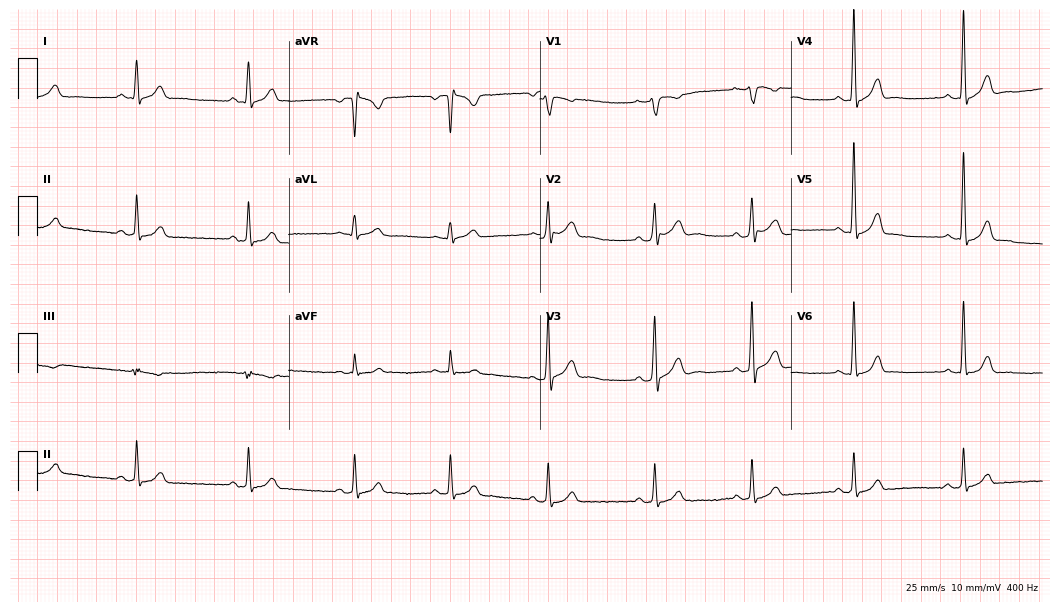
12-lead ECG (10.2-second recording at 400 Hz) from a 23-year-old man. Labelled as a normal ECG.